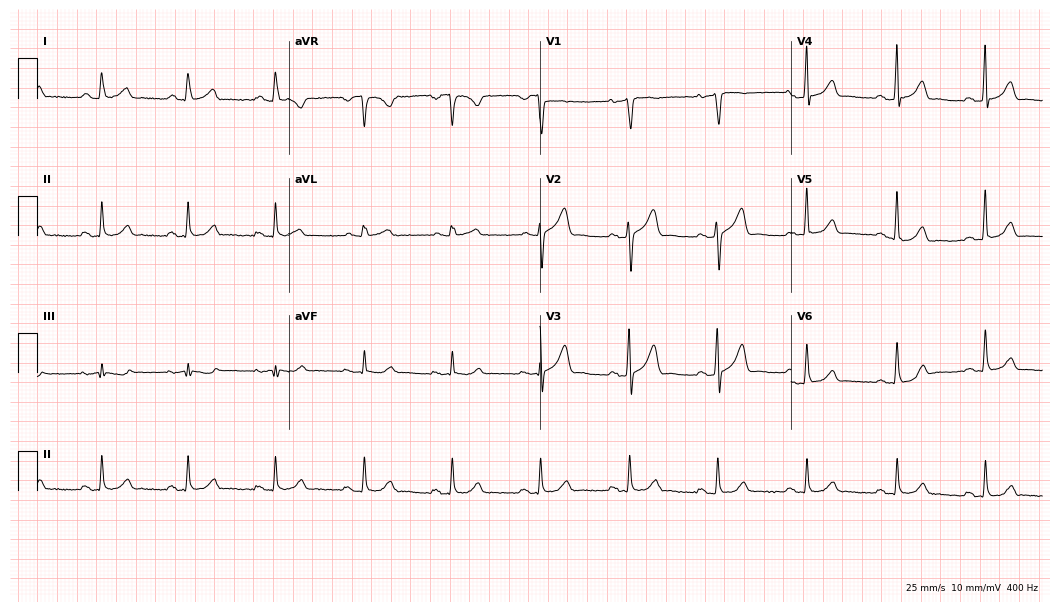
Resting 12-lead electrocardiogram (10.2-second recording at 400 Hz). Patient: a woman, 60 years old. Read as a normal ECG.